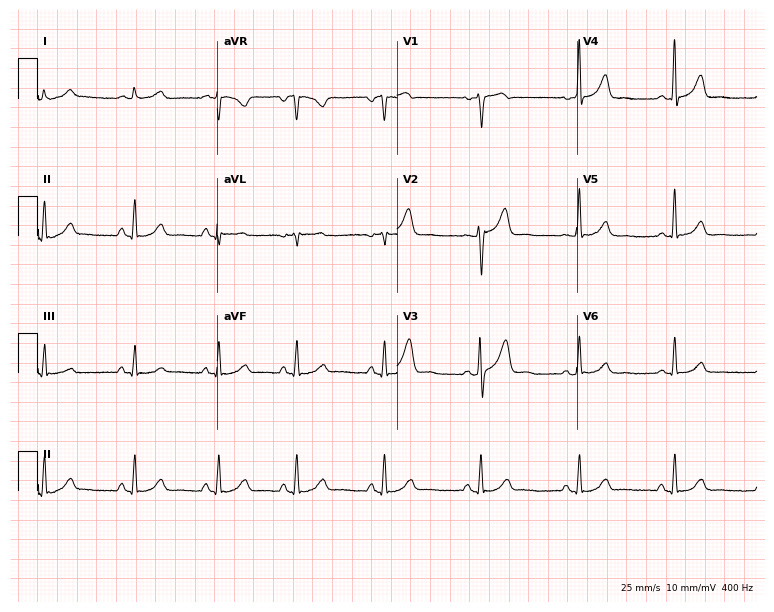
Resting 12-lead electrocardiogram. Patient: a woman, 53 years old. Read as a normal ECG.